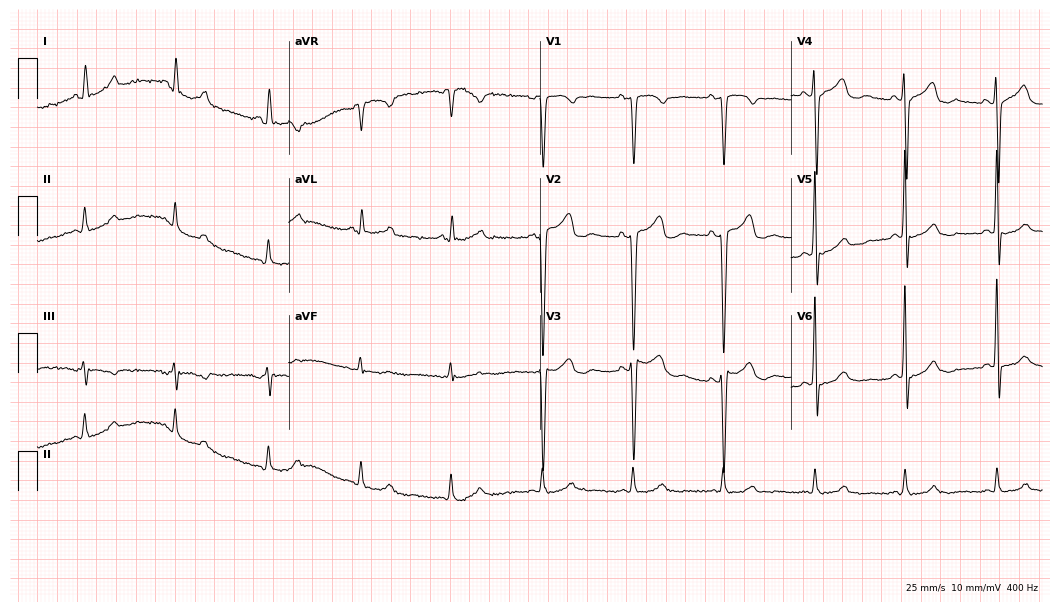
12-lead ECG from a man, 49 years old (10.2-second recording at 400 Hz). No first-degree AV block, right bundle branch block (RBBB), left bundle branch block (LBBB), sinus bradycardia, atrial fibrillation (AF) or sinus tachycardia recorded for this tracing.